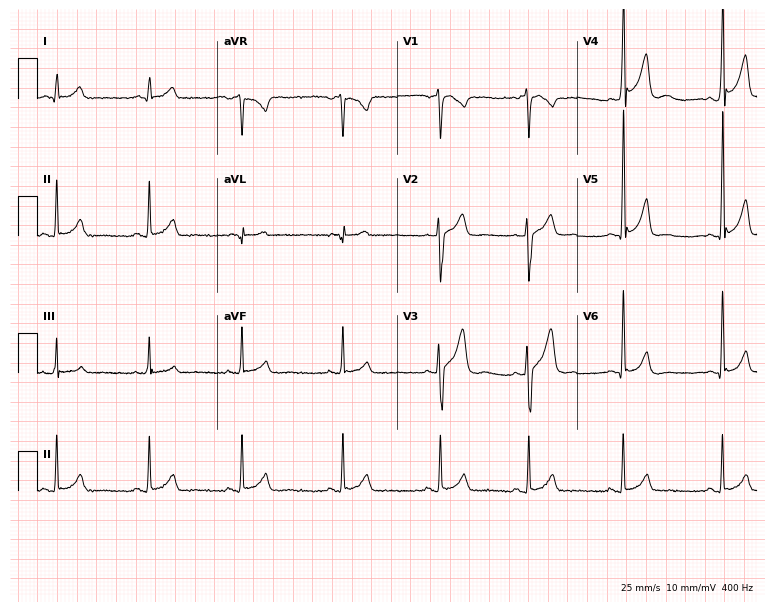
Electrocardiogram (7.3-second recording at 400 Hz), a male, 35 years old. Of the six screened findings (first-degree AV block, right bundle branch block (RBBB), left bundle branch block (LBBB), sinus bradycardia, atrial fibrillation (AF), sinus tachycardia), none is recorded. Other findings, if any, are not listed.